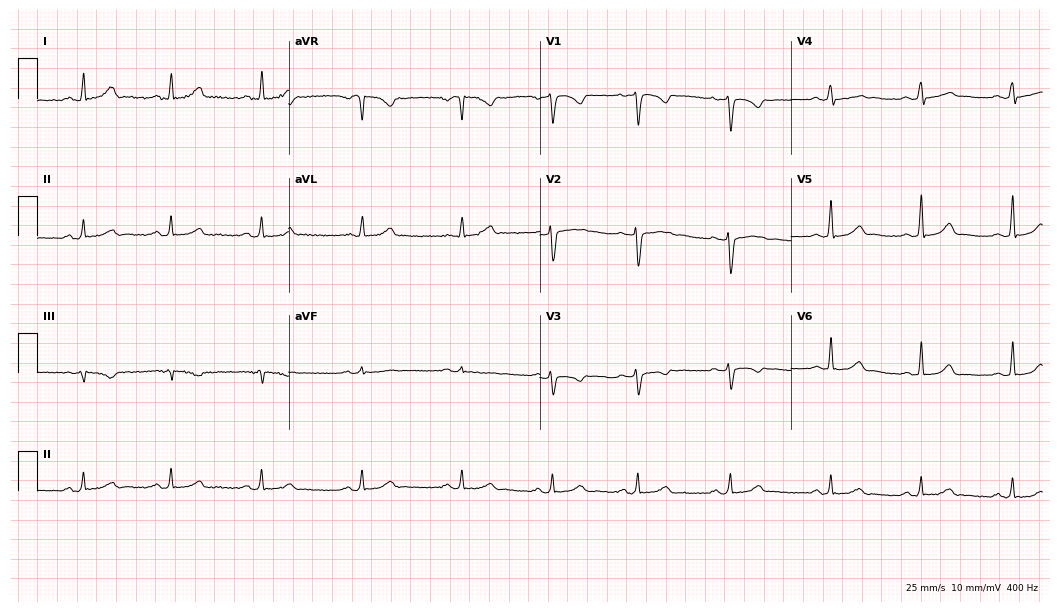
12-lead ECG (10.2-second recording at 400 Hz) from a female, 29 years old. Screened for six findings — first-degree AV block, right bundle branch block (RBBB), left bundle branch block (LBBB), sinus bradycardia, atrial fibrillation (AF), sinus tachycardia — none is recorded.